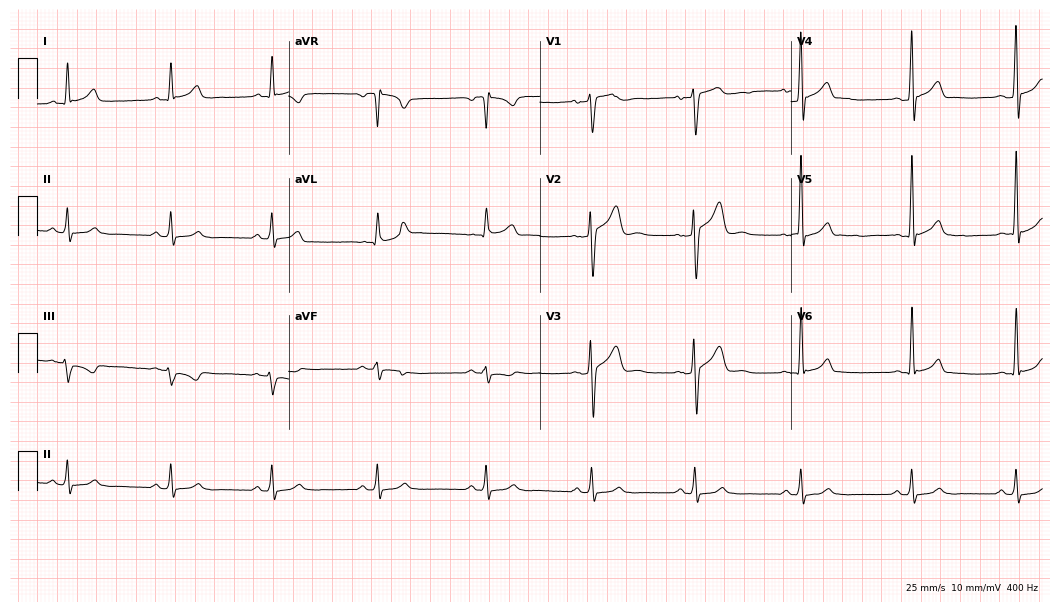
ECG — a male patient, 34 years old. Screened for six findings — first-degree AV block, right bundle branch block, left bundle branch block, sinus bradycardia, atrial fibrillation, sinus tachycardia — none is recorded.